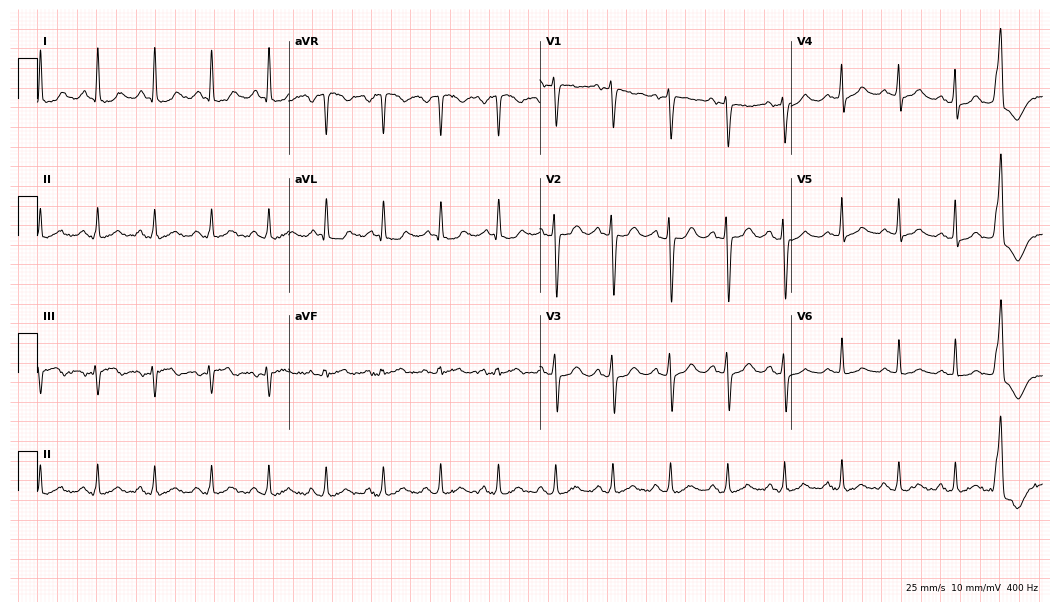
Standard 12-lead ECG recorded from a female patient, 74 years old (10.2-second recording at 400 Hz). The tracing shows sinus tachycardia (a sinus rate of 100 beats per minute or more).